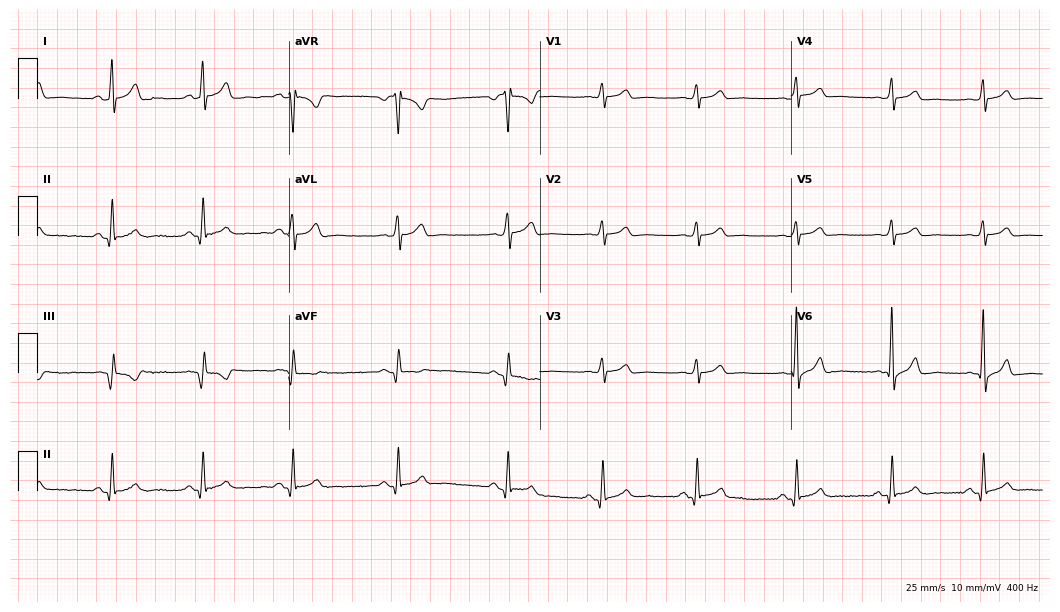
Resting 12-lead electrocardiogram (10.2-second recording at 400 Hz). Patient: a 32-year-old male. Read as a normal ECG.